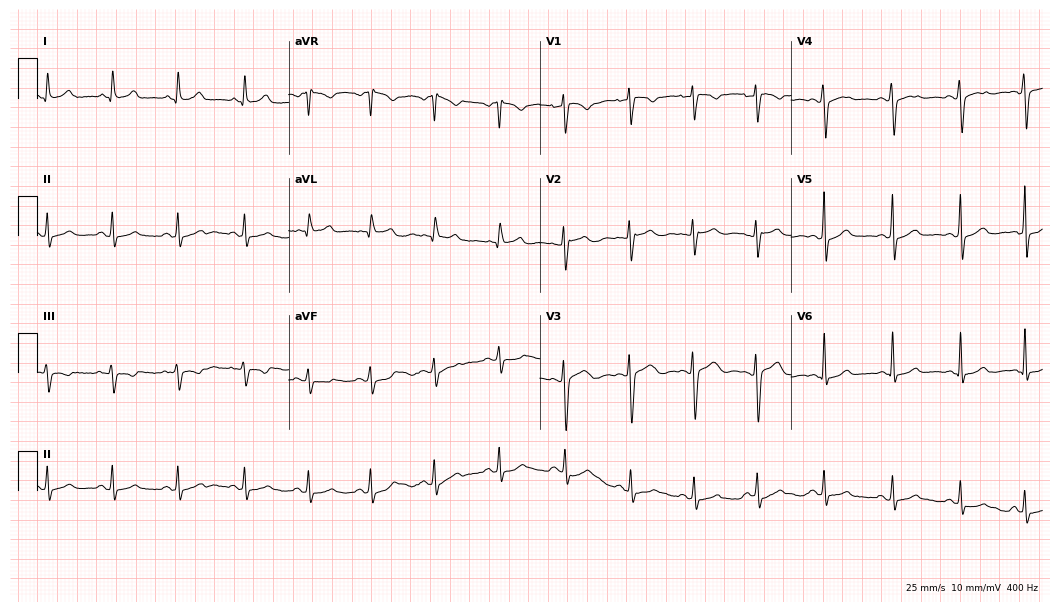
Resting 12-lead electrocardiogram (10.2-second recording at 400 Hz). Patient: a 36-year-old female. Read as a normal ECG.